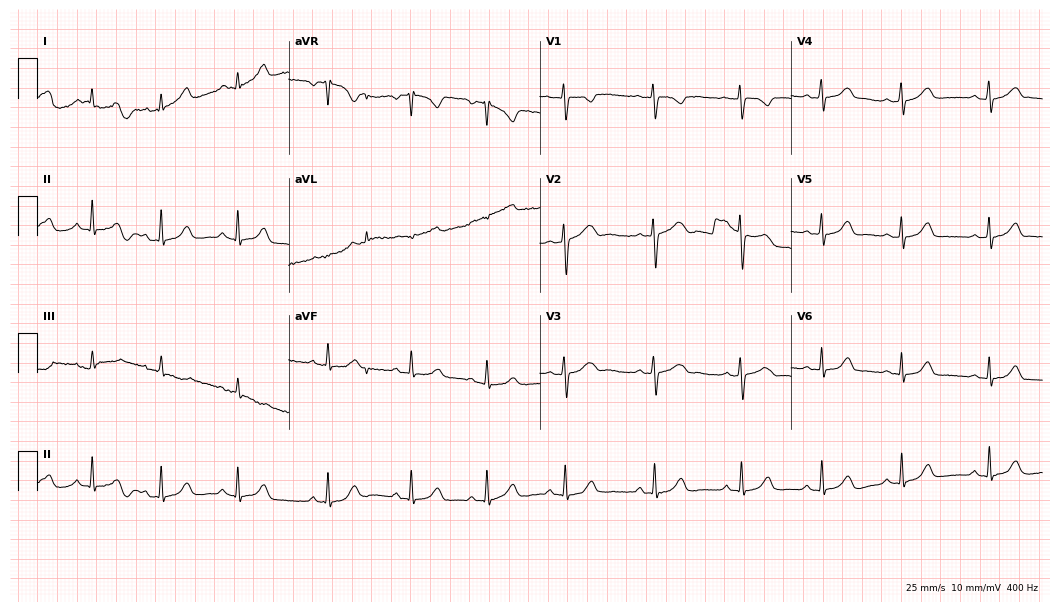
Standard 12-lead ECG recorded from a woman, 19 years old (10.2-second recording at 400 Hz). None of these six findings is recorded: first-degree AV block, right bundle branch block, left bundle branch block, sinus bradycardia, atrial fibrillation, sinus tachycardia.